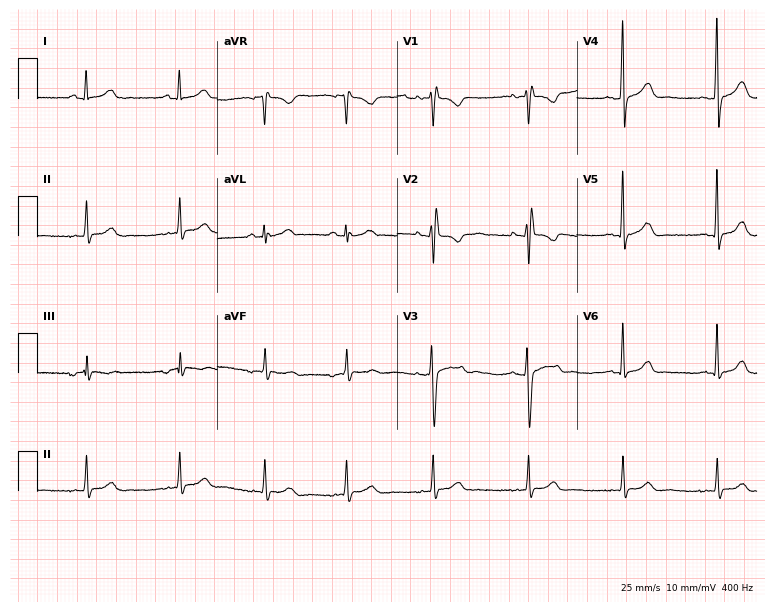
Electrocardiogram, a woman, 23 years old. Of the six screened findings (first-degree AV block, right bundle branch block (RBBB), left bundle branch block (LBBB), sinus bradycardia, atrial fibrillation (AF), sinus tachycardia), none is recorded. Only these six findings were labelled.